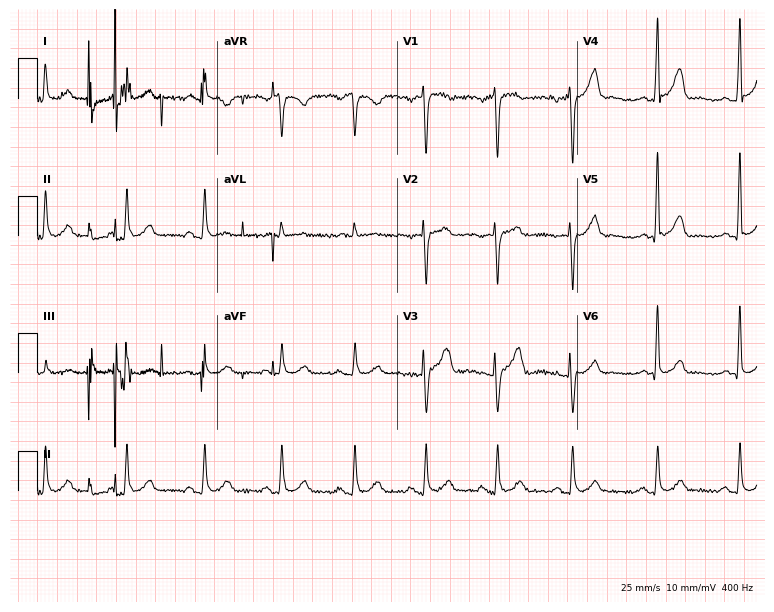
Electrocardiogram (7.3-second recording at 400 Hz), a 41-year-old male. Overall reading on record: normal ECG.